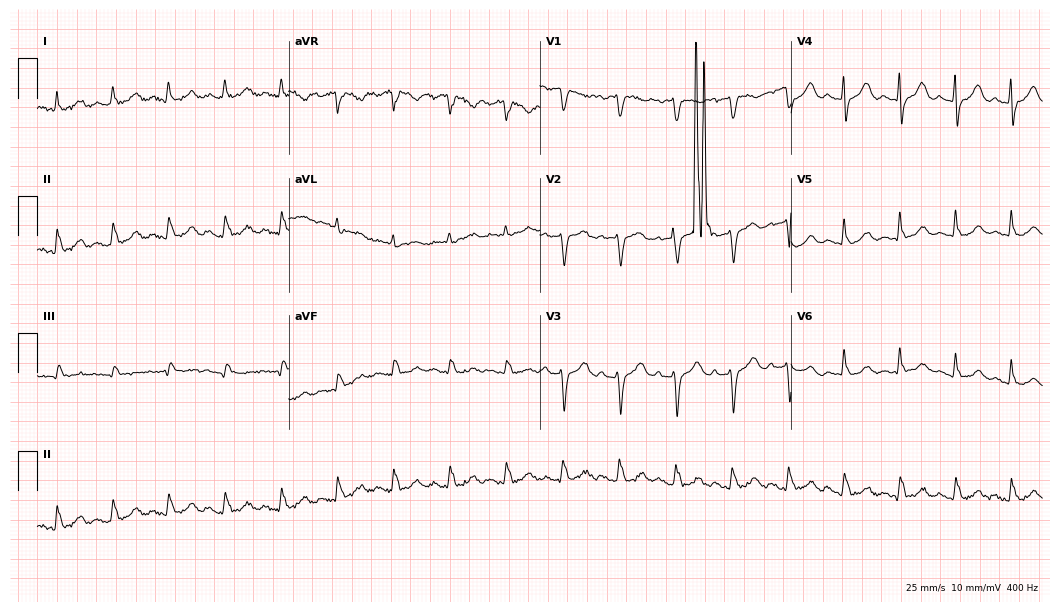
12-lead ECG (10.2-second recording at 400 Hz) from a woman, 71 years old. Findings include sinus tachycardia (a sinus rate of 100 beats per minute or more).